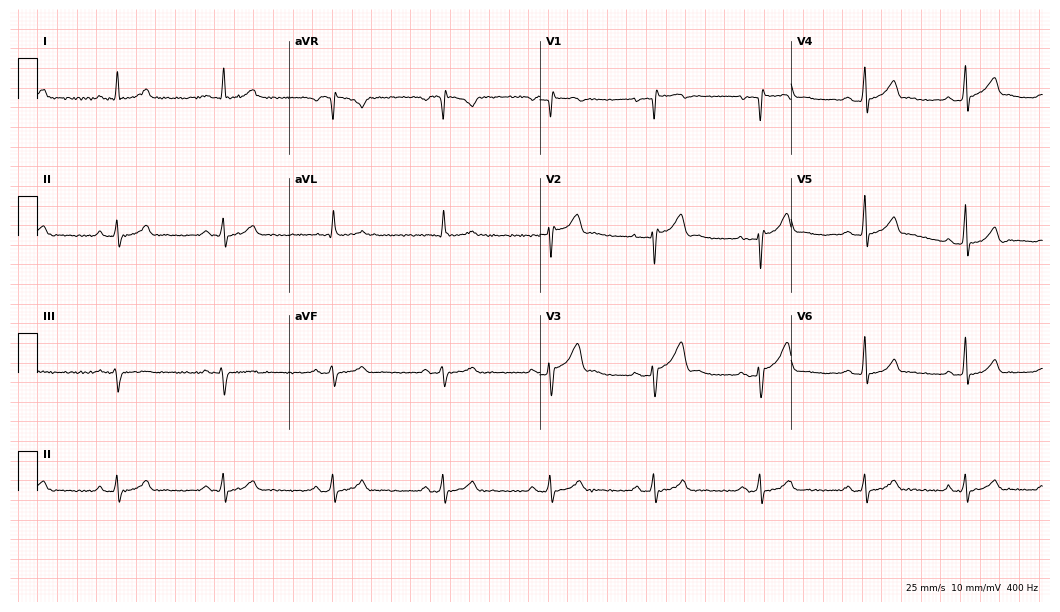
ECG — a man, 37 years old. Labelled as a normal ECG.